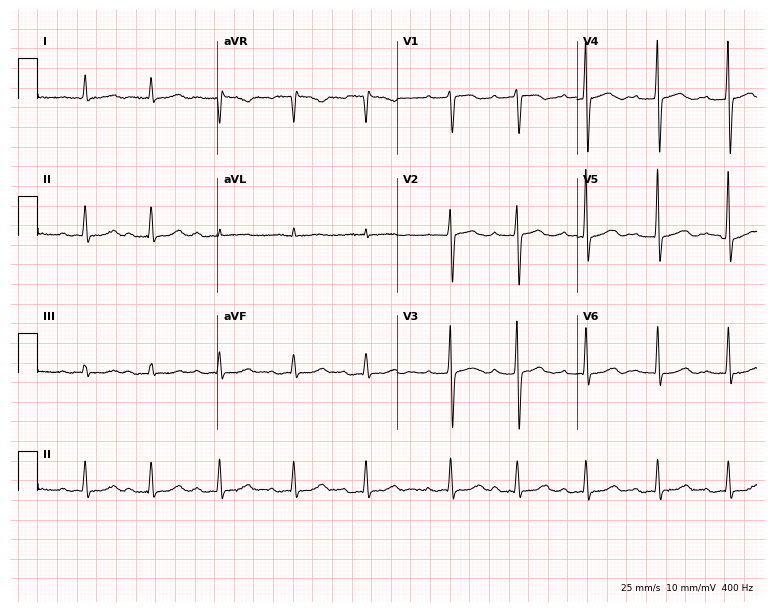
Standard 12-lead ECG recorded from a man, 81 years old. Read as a normal ECG.